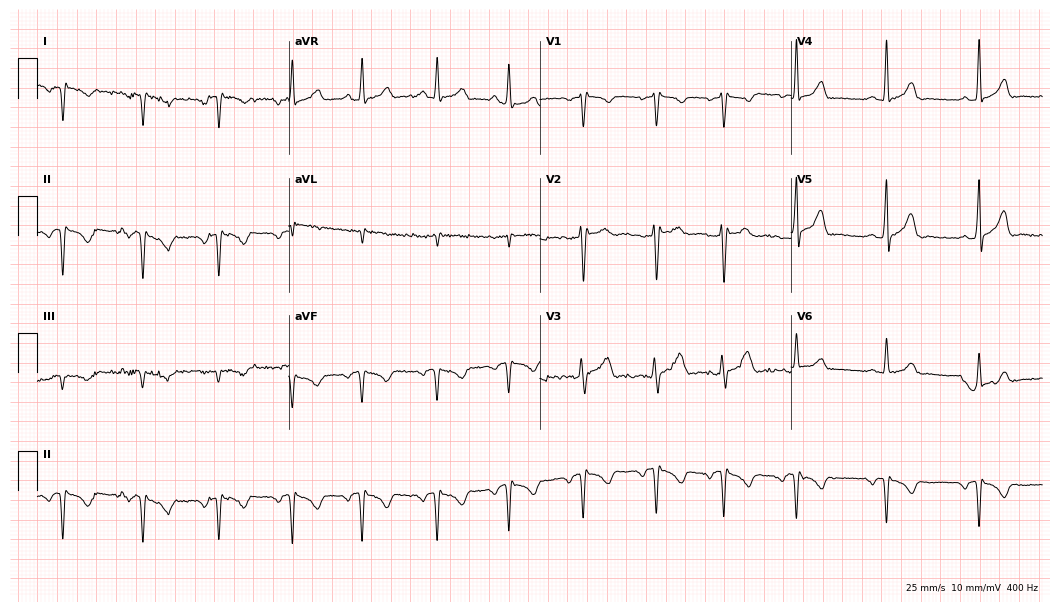
12-lead ECG (10.2-second recording at 400 Hz) from a 26-year-old female patient. Screened for six findings — first-degree AV block, right bundle branch block (RBBB), left bundle branch block (LBBB), sinus bradycardia, atrial fibrillation (AF), sinus tachycardia — none is recorded. Only these six findings were labelled.